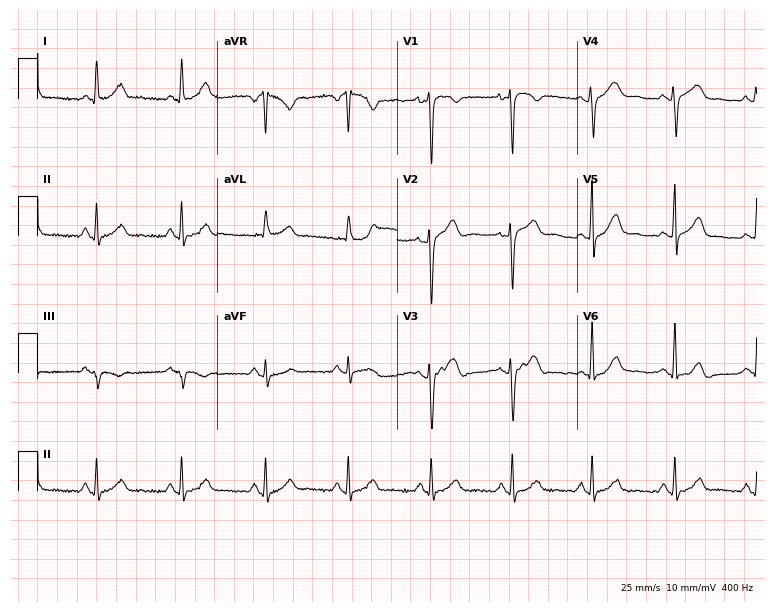
ECG (7.3-second recording at 400 Hz) — a female patient, 38 years old. Screened for six findings — first-degree AV block, right bundle branch block, left bundle branch block, sinus bradycardia, atrial fibrillation, sinus tachycardia — none is recorded. Only these six findings were labelled.